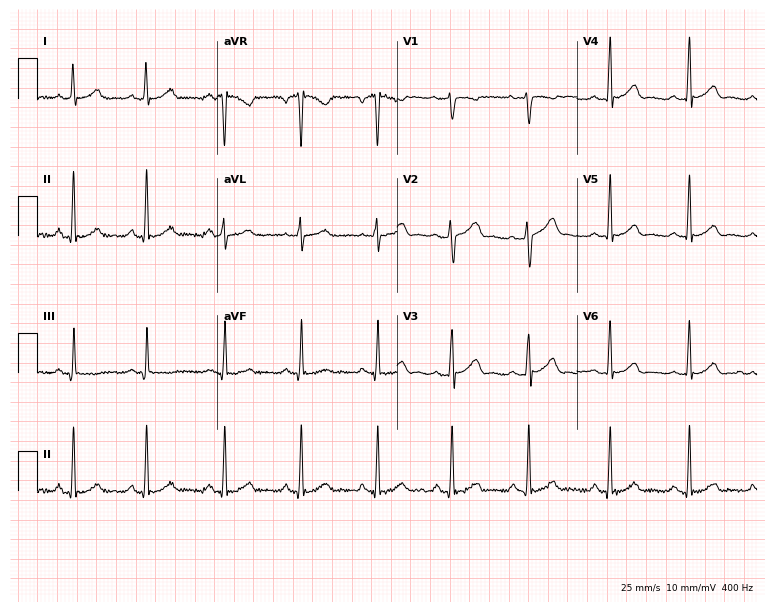
Electrocardiogram, a 29-year-old female. Of the six screened findings (first-degree AV block, right bundle branch block, left bundle branch block, sinus bradycardia, atrial fibrillation, sinus tachycardia), none is recorded. Other findings, if any, are not listed.